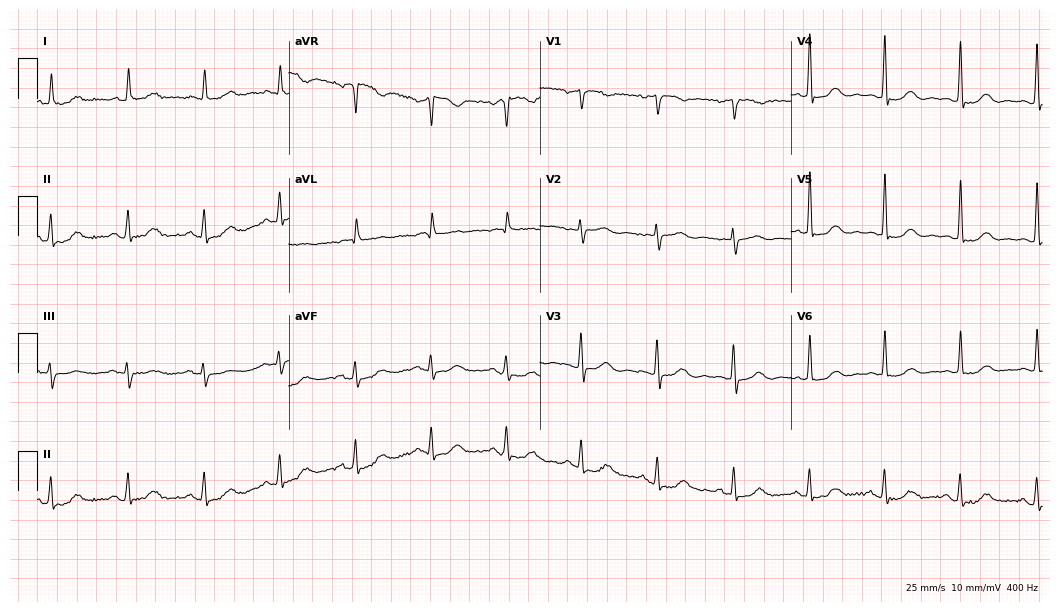
Standard 12-lead ECG recorded from a female, 75 years old. None of these six findings is recorded: first-degree AV block, right bundle branch block (RBBB), left bundle branch block (LBBB), sinus bradycardia, atrial fibrillation (AF), sinus tachycardia. Findings outside these six are not listed.